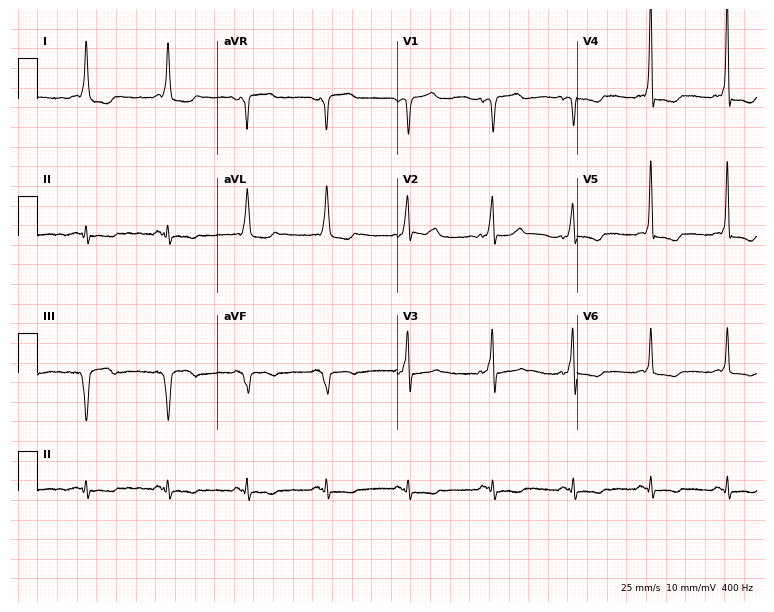
12-lead ECG from a female, 47 years old (7.3-second recording at 400 Hz). No first-degree AV block, right bundle branch block, left bundle branch block, sinus bradycardia, atrial fibrillation or sinus tachycardia recorded for this tracing. Only these six findings were labelled.